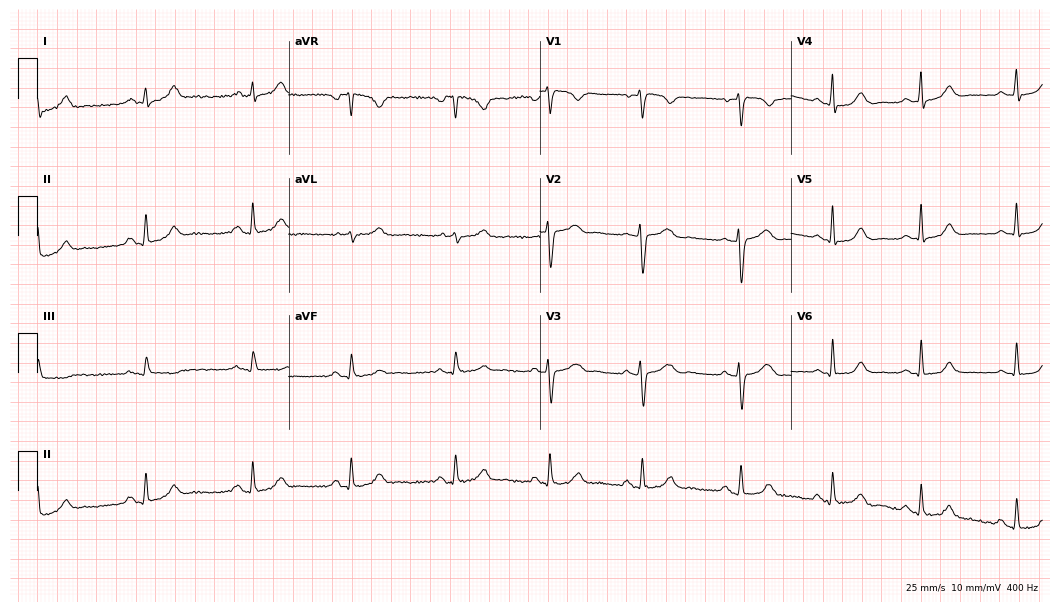
Resting 12-lead electrocardiogram. Patient: a female, 39 years old. Read as a normal ECG.